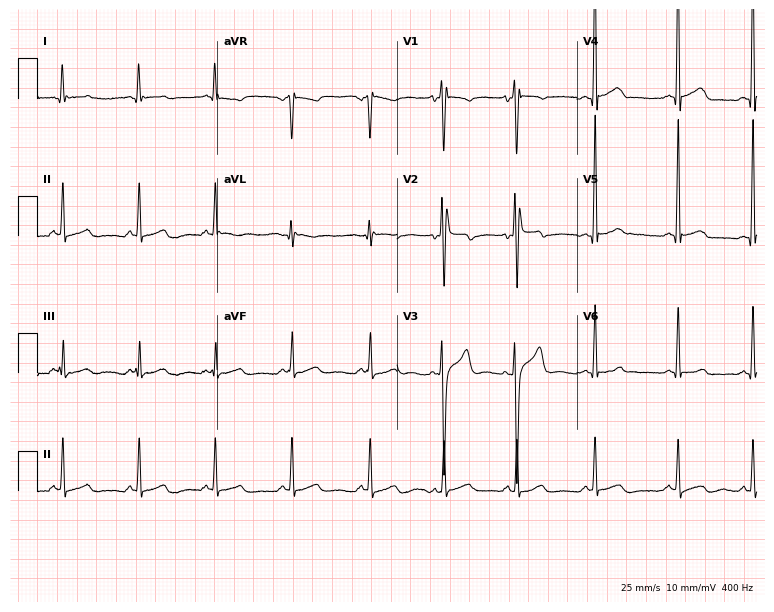
Electrocardiogram, a man, 23 years old. Of the six screened findings (first-degree AV block, right bundle branch block (RBBB), left bundle branch block (LBBB), sinus bradycardia, atrial fibrillation (AF), sinus tachycardia), none is recorded.